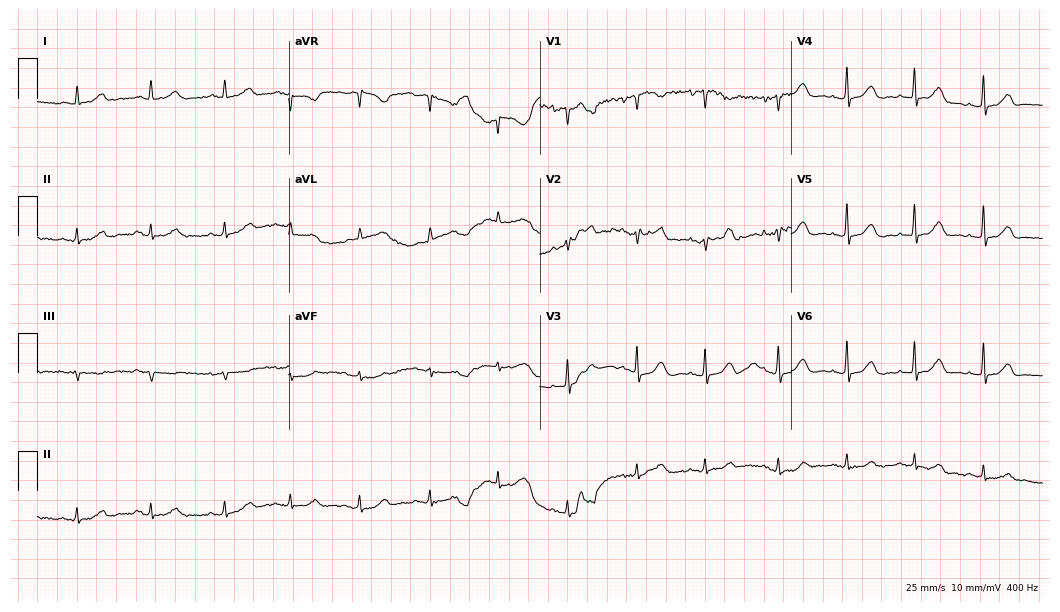
12-lead ECG (10.2-second recording at 400 Hz) from a female, 85 years old. Labelled as a normal ECG.